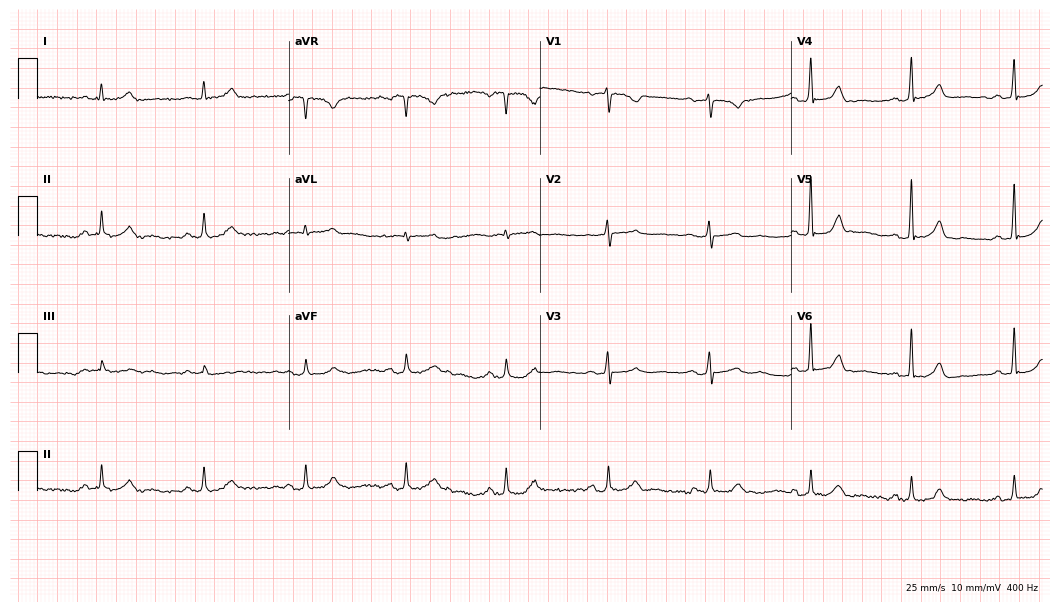
12-lead ECG from a 68-year-old female patient. No first-degree AV block, right bundle branch block (RBBB), left bundle branch block (LBBB), sinus bradycardia, atrial fibrillation (AF) or sinus tachycardia recorded for this tracing. Other findings, if any, are not listed.